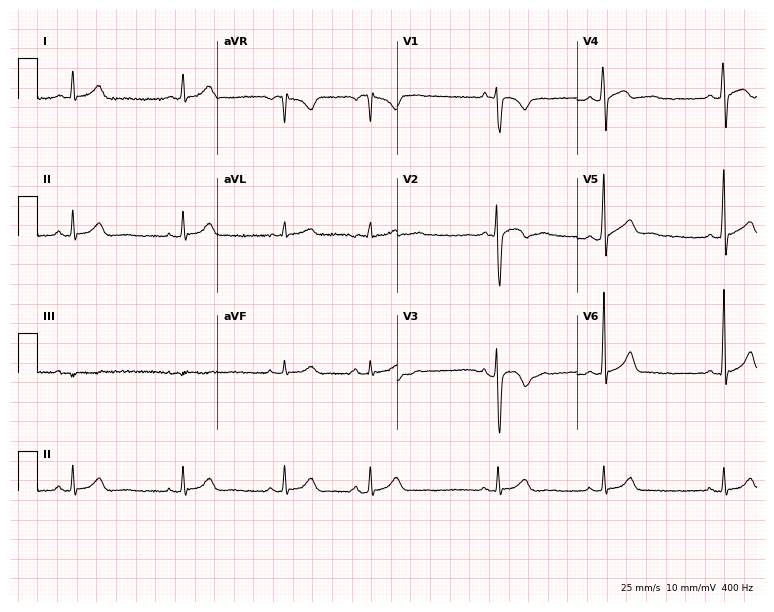
Electrocardiogram, a male patient, 24 years old. Of the six screened findings (first-degree AV block, right bundle branch block, left bundle branch block, sinus bradycardia, atrial fibrillation, sinus tachycardia), none is recorded.